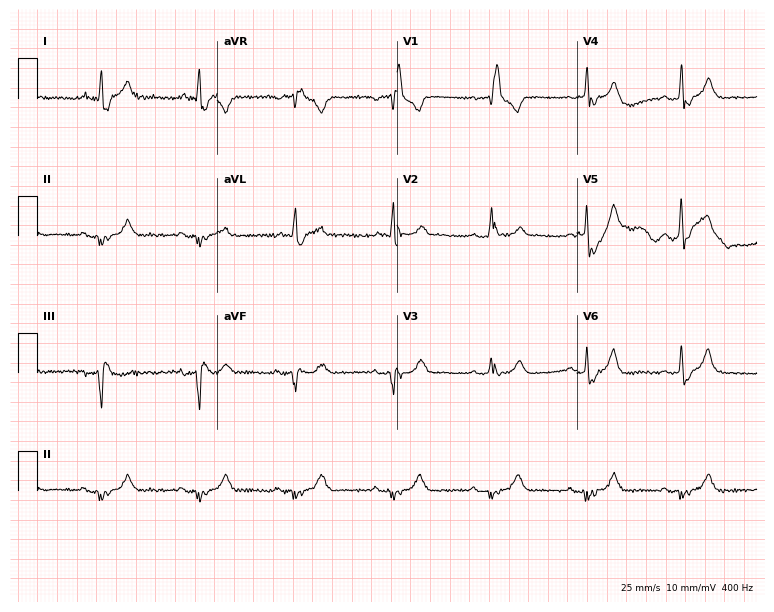
Standard 12-lead ECG recorded from a 75-year-old man. The tracing shows right bundle branch block.